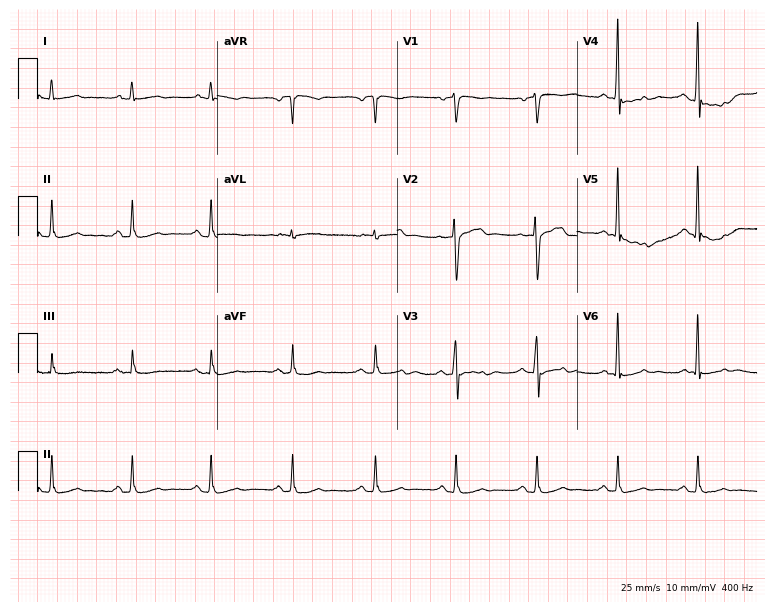
12-lead ECG from a male patient, 64 years old. No first-degree AV block, right bundle branch block, left bundle branch block, sinus bradycardia, atrial fibrillation or sinus tachycardia recorded for this tracing.